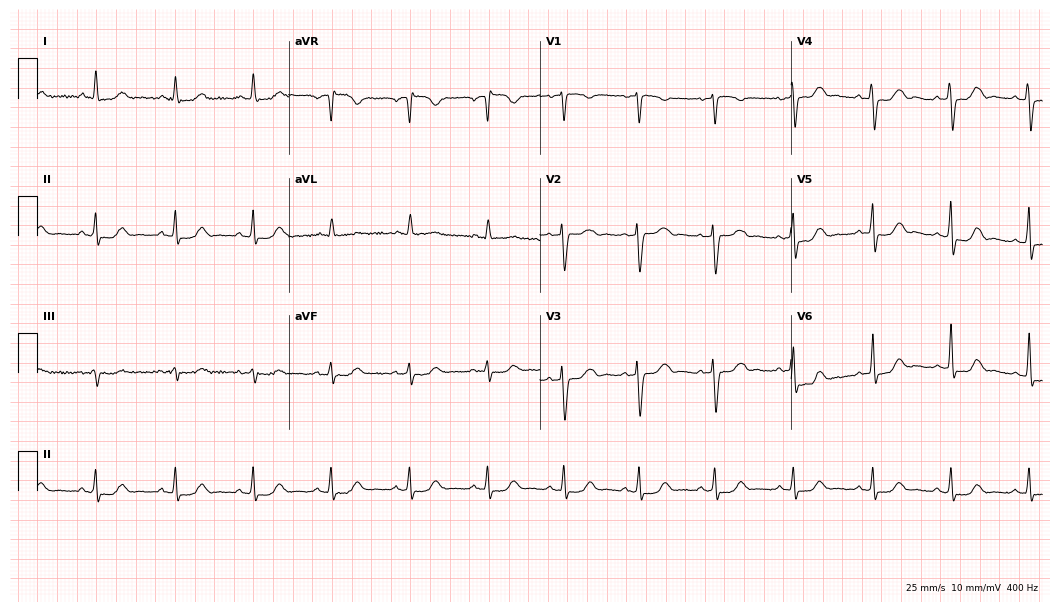
Resting 12-lead electrocardiogram (10.2-second recording at 400 Hz). Patient: a 77-year-old female. Read as a normal ECG.